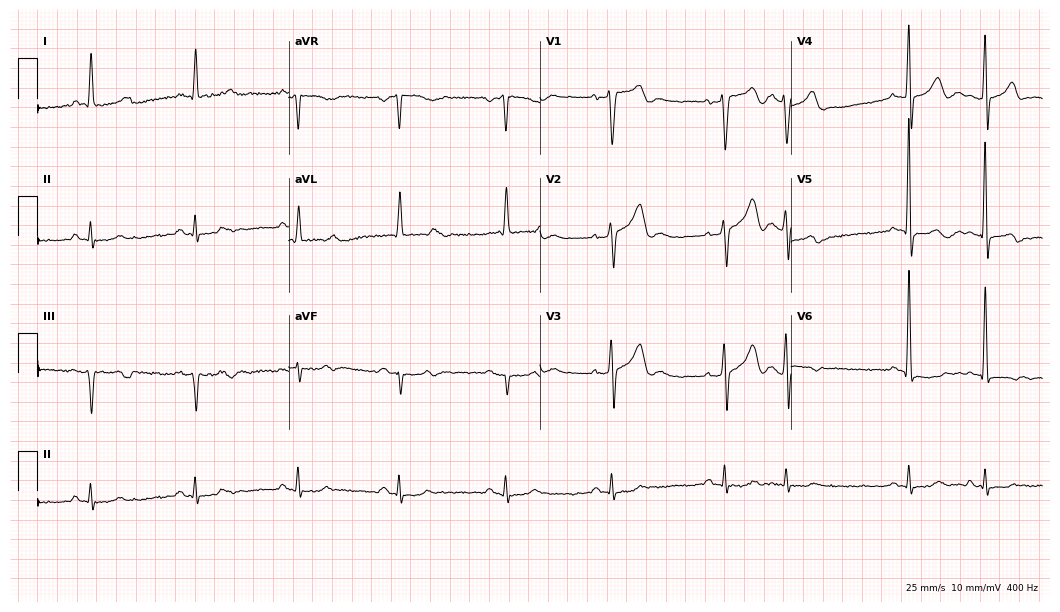
12-lead ECG from a 70-year-old man. No first-degree AV block, right bundle branch block (RBBB), left bundle branch block (LBBB), sinus bradycardia, atrial fibrillation (AF) or sinus tachycardia recorded for this tracing. Only these six findings were labelled.